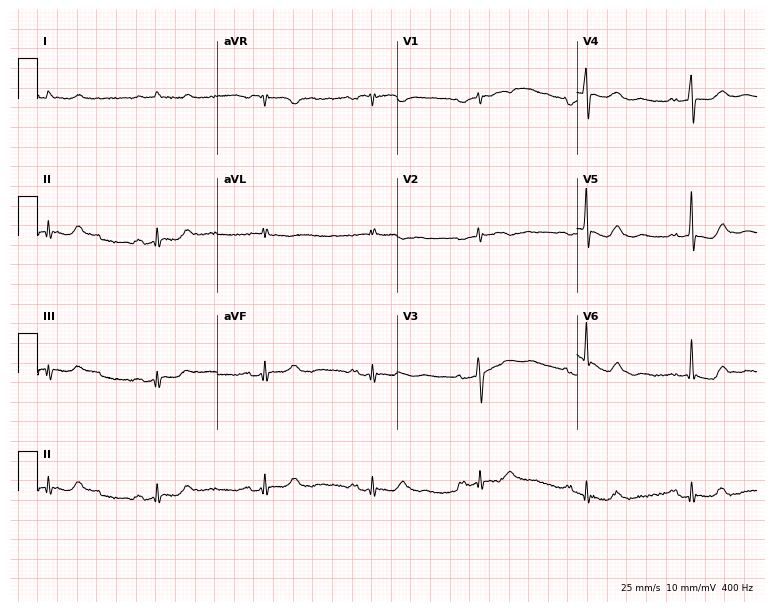
Electrocardiogram (7.3-second recording at 400 Hz), a woman, 83 years old. Of the six screened findings (first-degree AV block, right bundle branch block (RBBB), left bundle branch block (LBBB), sinus bradycardia, atrial fibrillation (AF), sinus tachycardia), none is recorded.